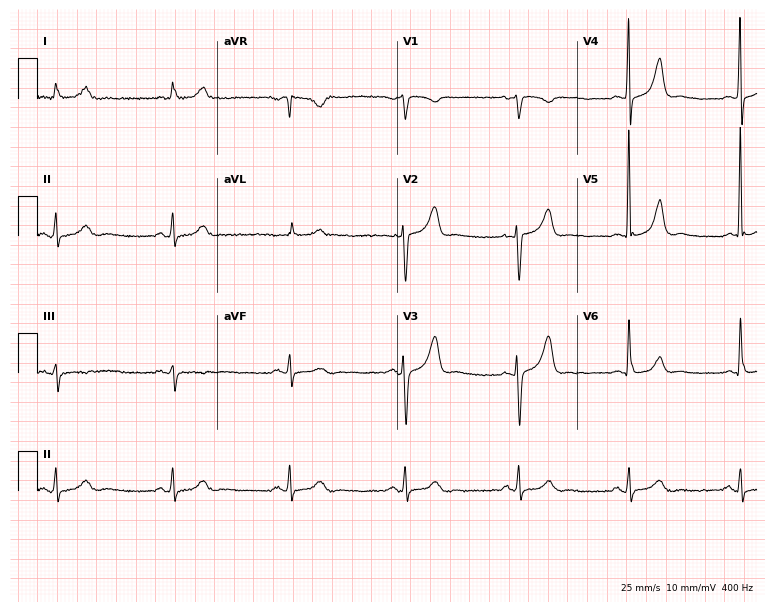
Electrocardiogram, a female patient, 71 years old. Overall reading on record: normal ECG.